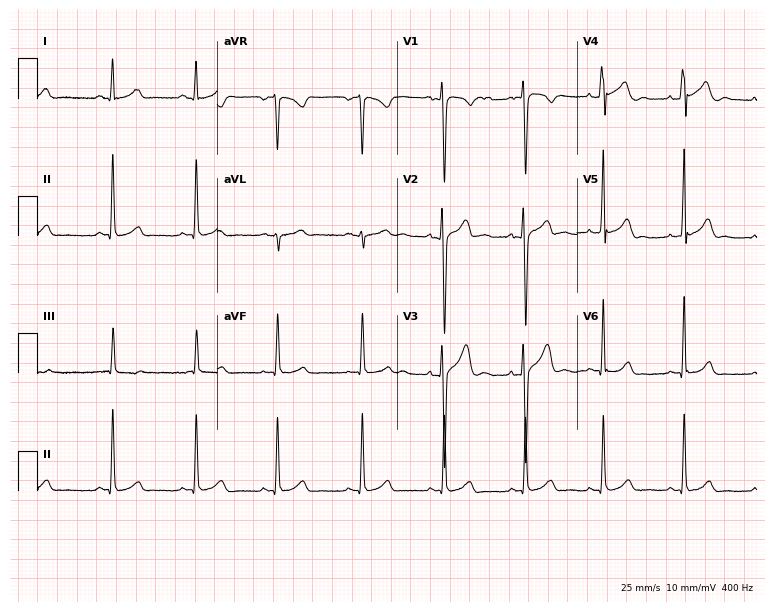
Standard 12-lead ECG recorded from a male patient, 23 years old. Read as a normal ECG.